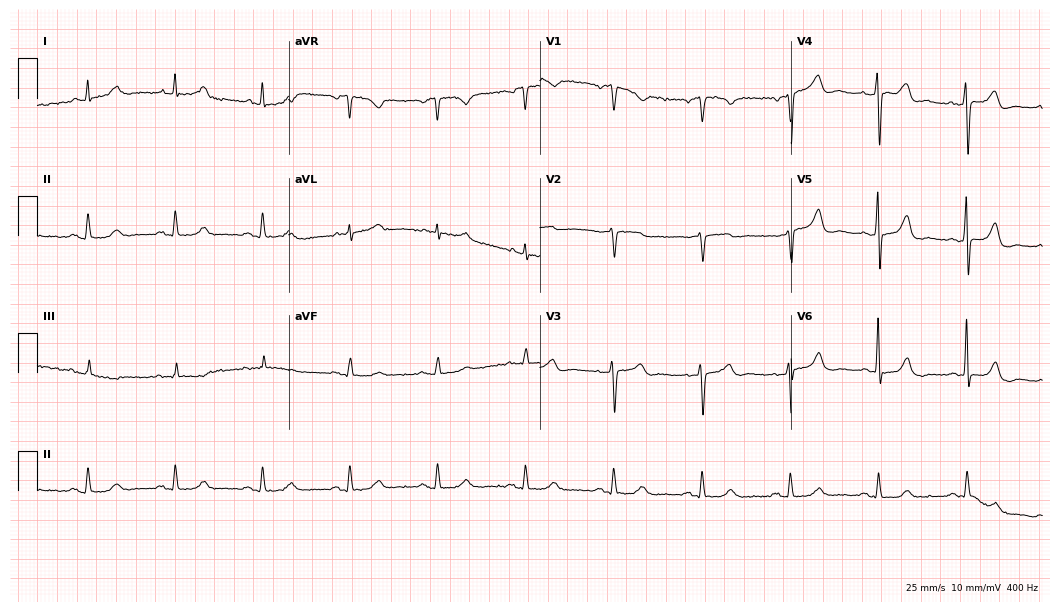
Electrocardiogram, an 84-year-old man. Overall reading on record: normal ECG.